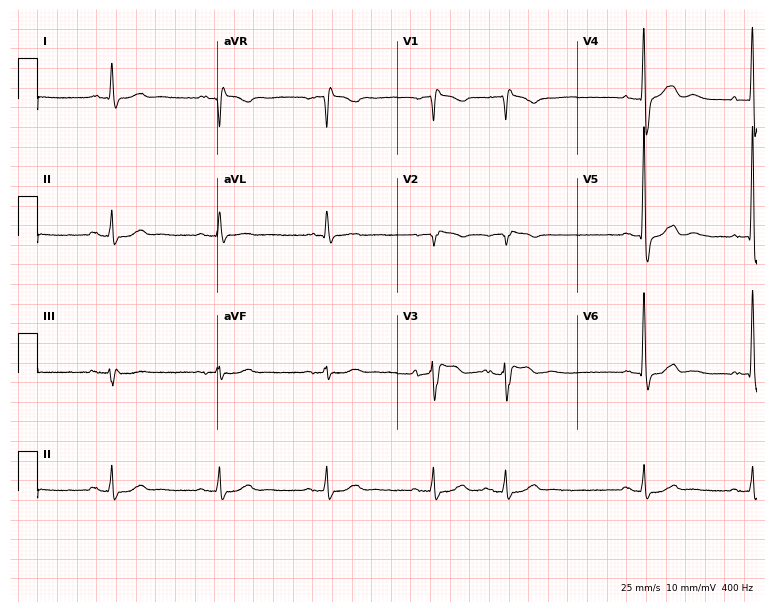
ECG (7.3-second recording at 400 Hz) — a male patient, 82 years old. Findings include right bundle branch block (RBBB).